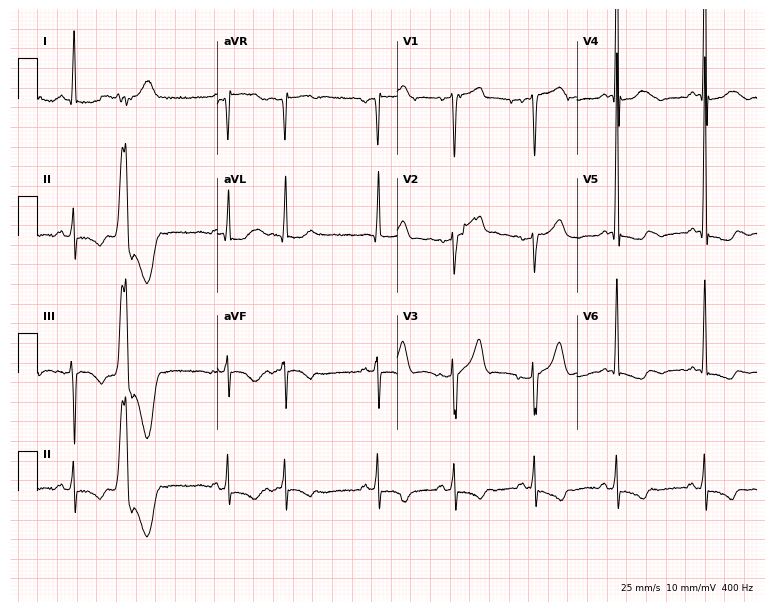
12-lead ECG (7.3-second recording at 400 Hz) from a 50-year-old man. Screened for six findings — first-degree AV block, right bundle branch block (RBBB), left bundle branch block (LBBB), sinus bradycardia, atrial fibrillation (AF), sinus tachycardia — none is recorded. Only these six findings were labelled.